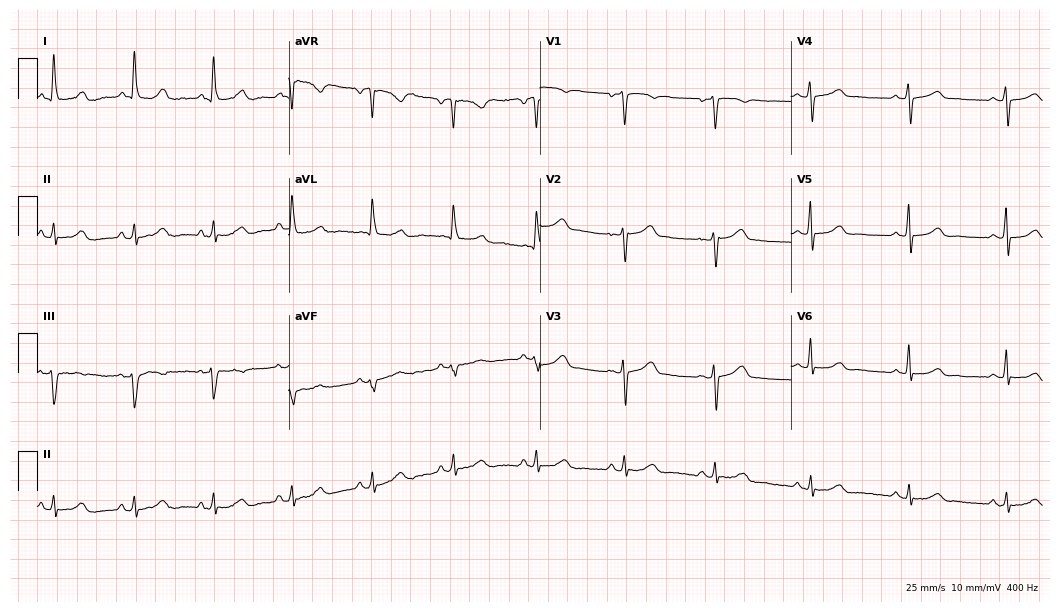
Resting 12-lead electrocardiogram (10.2-second recording at 400 Hz). Patient: a 66-year-old female. Read as a normal ECG.